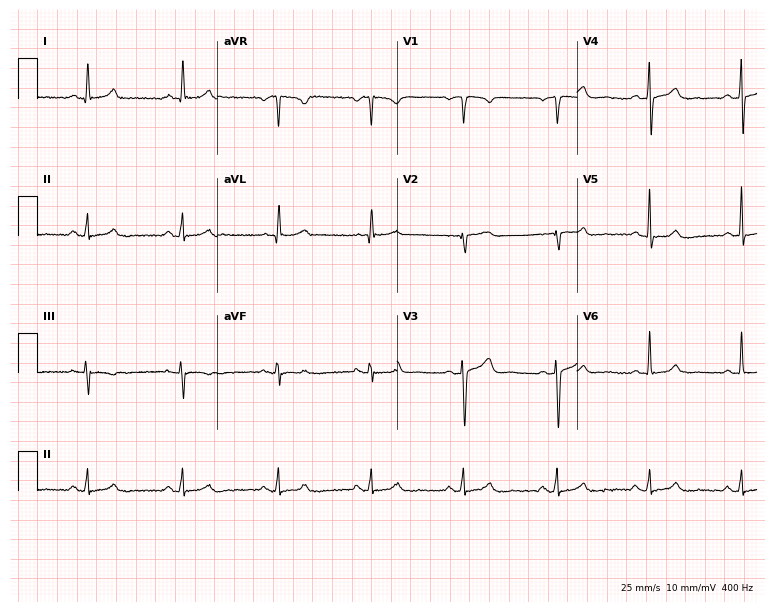
Standard 12-lead ECG recorded from a 59-year-old man (7.3-second recording at 400 Hz). Read as a normal ECG.